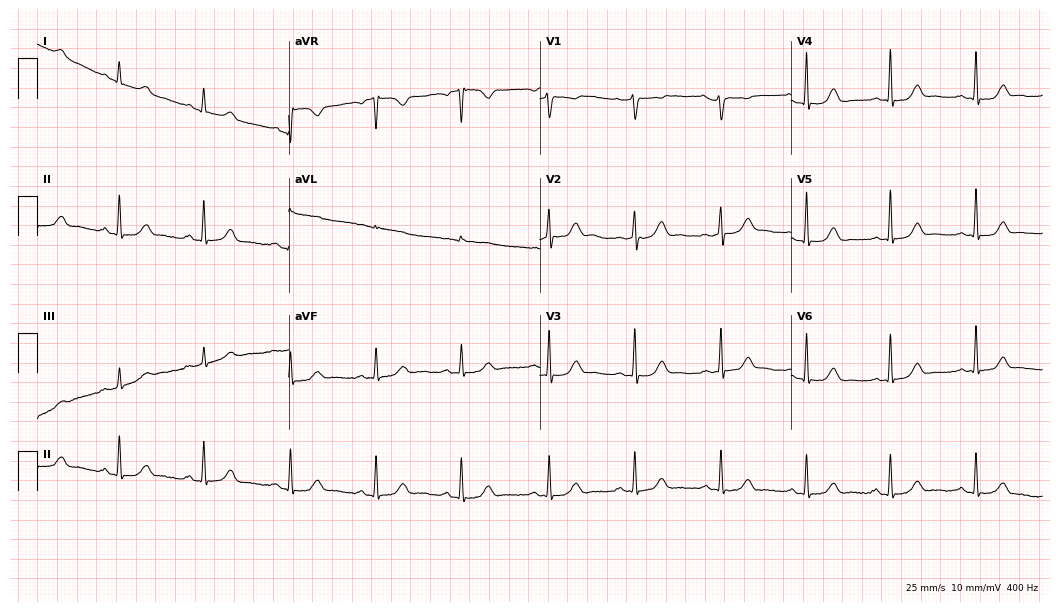
Resting 12-lead electrocardiogram. Patient: a 50-year-old woman. Read as a normal ECG.